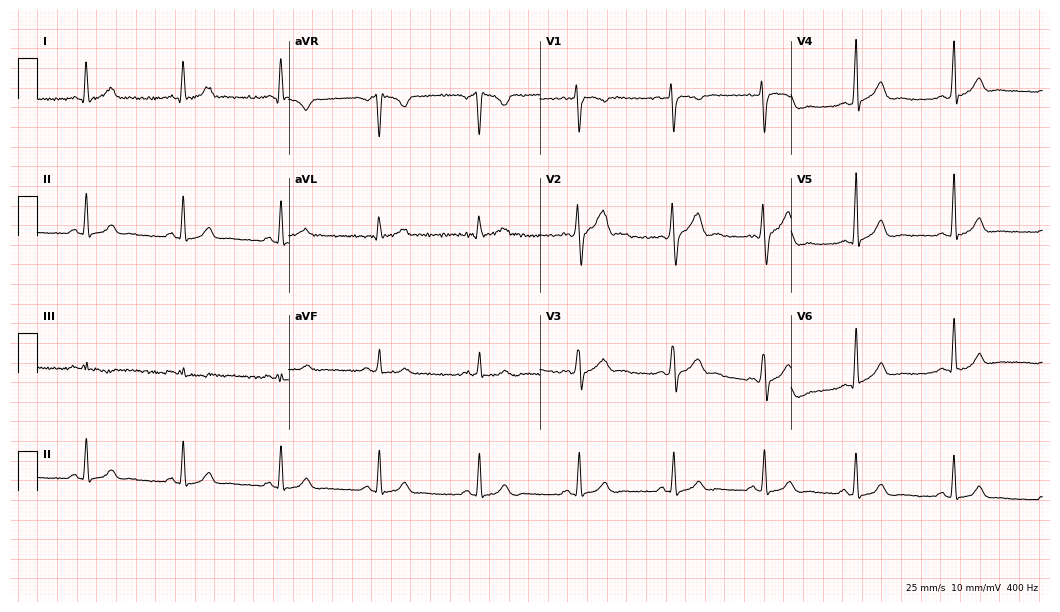
Standard 12-lead ECG recorded from a man, 30 years old (10.2-second recording at 400 Hz). Read as a normal ECG.